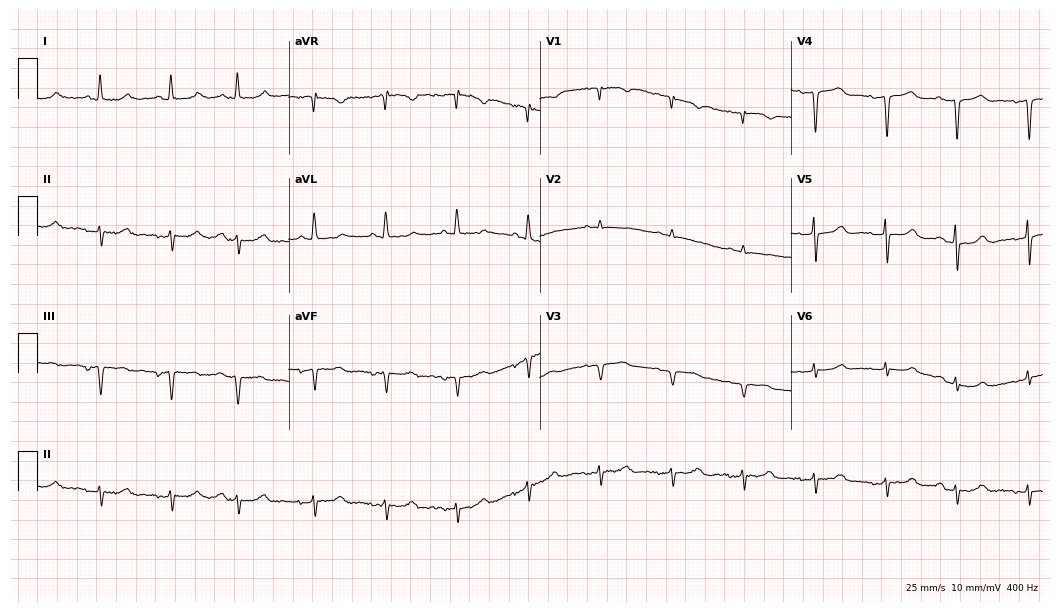
Electrocardiogram (10.2-second recording at 400 Hz), a 73-year-old woman. Of the six screened findings (first-degree AV block, right bundle branch block (RBBB), left bundle branch block (LBBB), sinus bradycardia, atrial fibrillation (AF), sinus tachycardia), none is recorded.